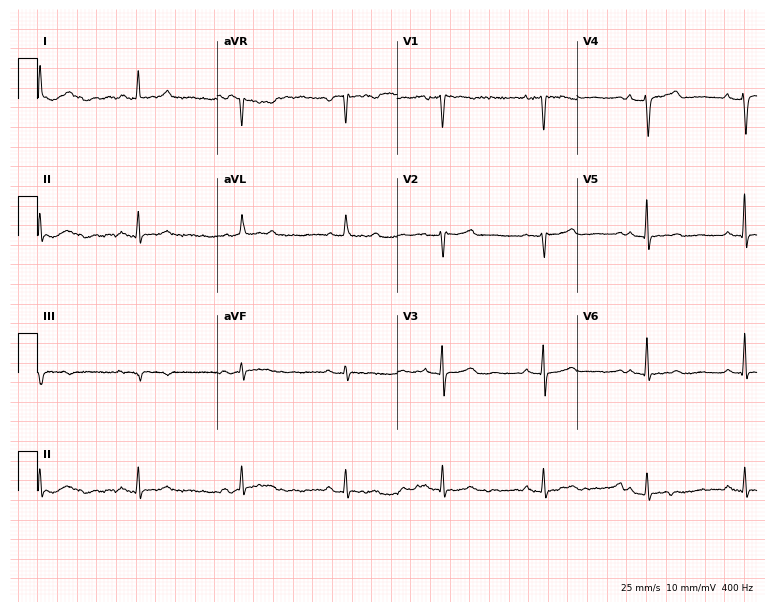
ECG — a female patient, 67 years old. Labelled as a normal ECG.